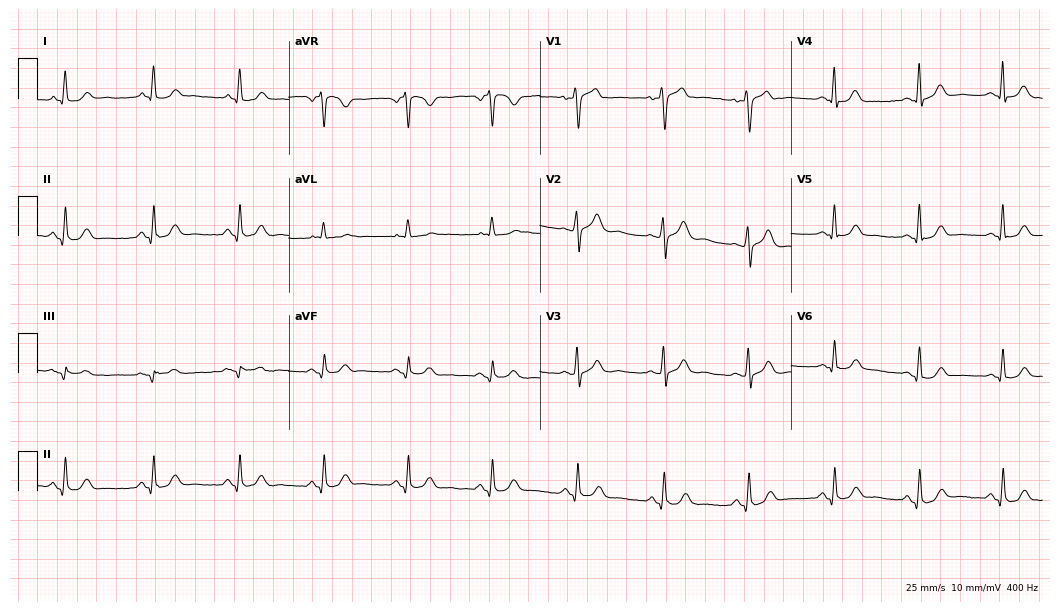
12-lead ECG (10.2-second recording at 400 Hz) from a 57-year-old female patient. Labelled as a normal ECG.